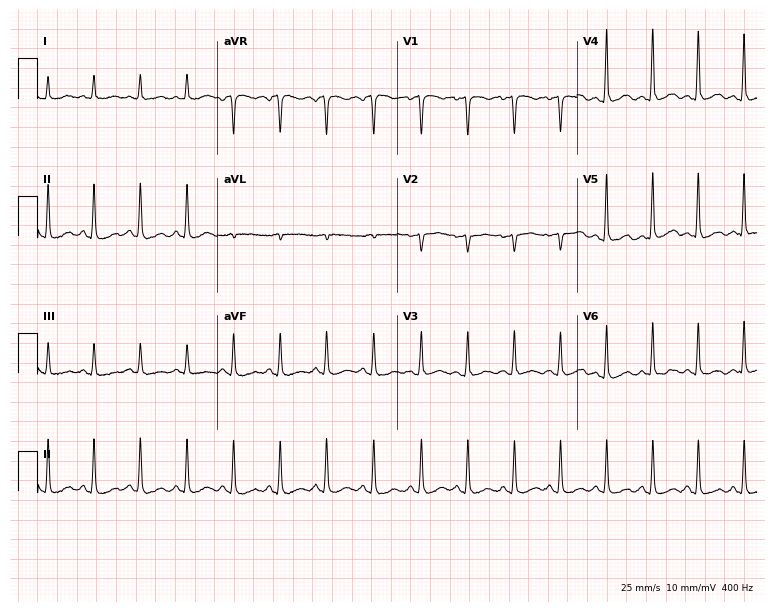
12-lead ECG from a woman, 40 years old. Findings include sinus tachycardia (a sinus rate of 100 beats per minute or more).